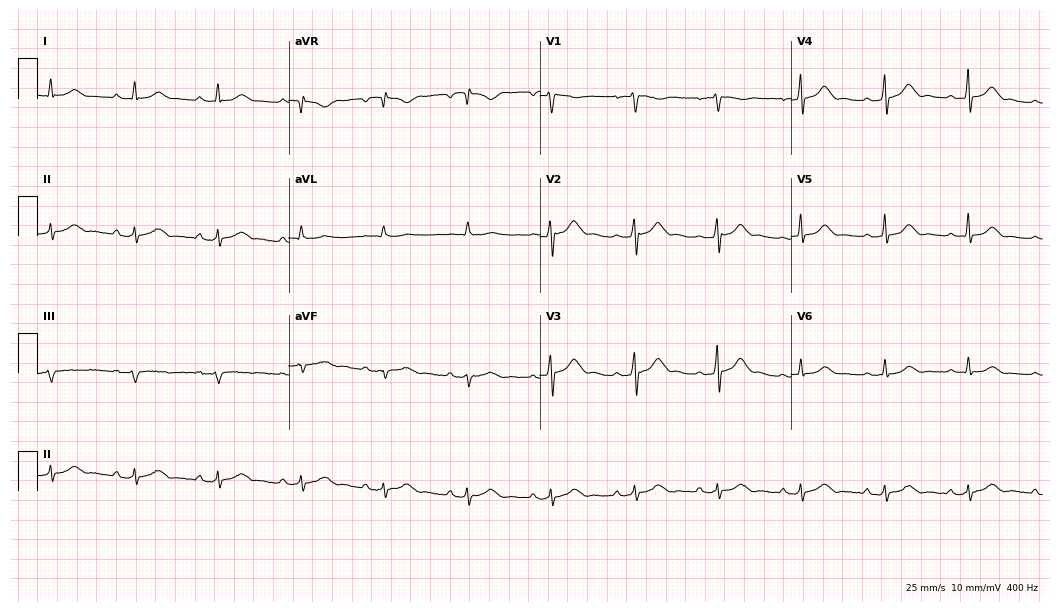
ECG — a female, 45 years old. Screened for six findings — first-degree AV block, right bundle branch block (RBBB), left bundle branch block (LBBB), sinus bradycardia, atrial fibrillation (AF), sinus tachycardia — none is recorded.